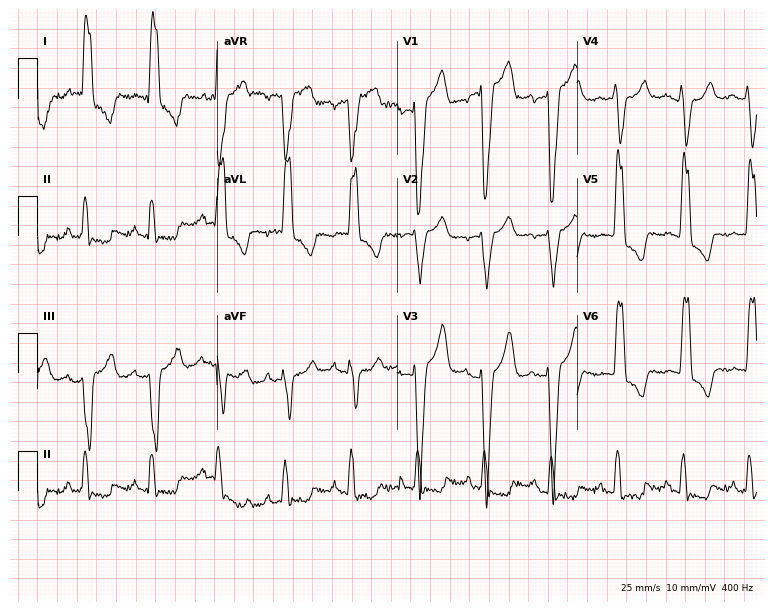
ECG — a female, 85 years old. Findings include left bundle branch block (LBBB).